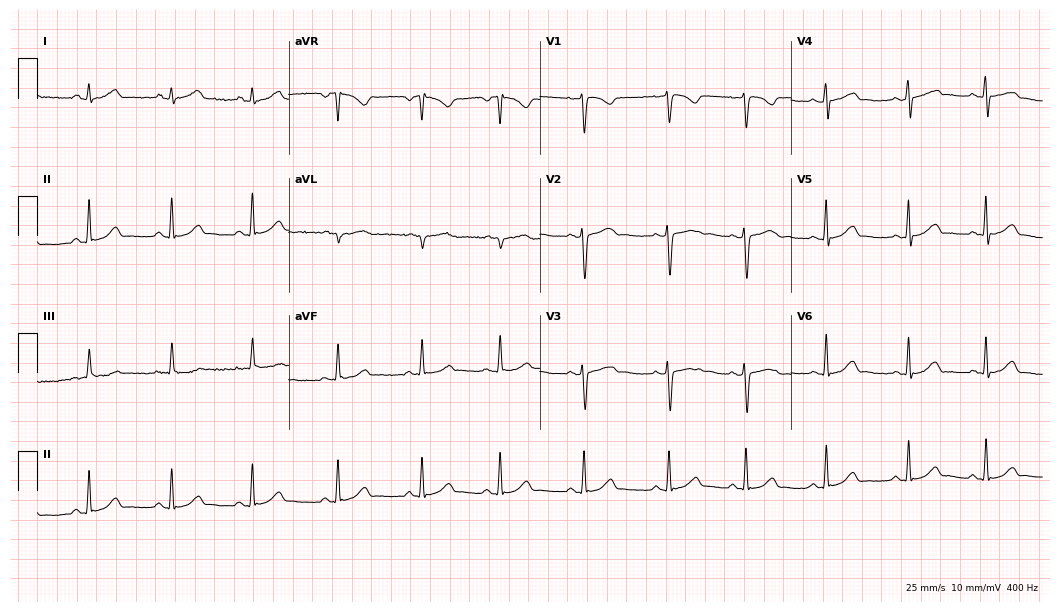
Electrocardiogram (10.2-second recording at 400 Hz), a female patient, 29 years old. Of the six screened findings (first-degree AV block, right bundle branch block (RBBB), left bundle branch block (LBBB), sinus bradycardia, atrial fibrillation (AF), sinus tachycardia), none is recorded. Findings outside these six are not listed.